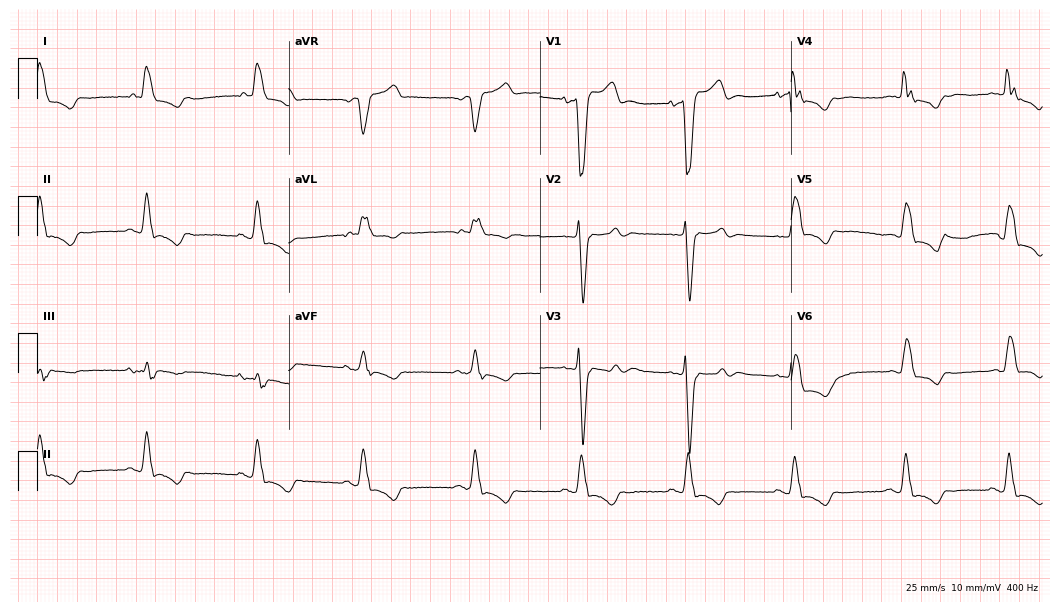
Electrocardiogram (10.2-second recording at 400 Hz), a man, 80 years old. Interpretation includes left bundle branch block (LBBB).